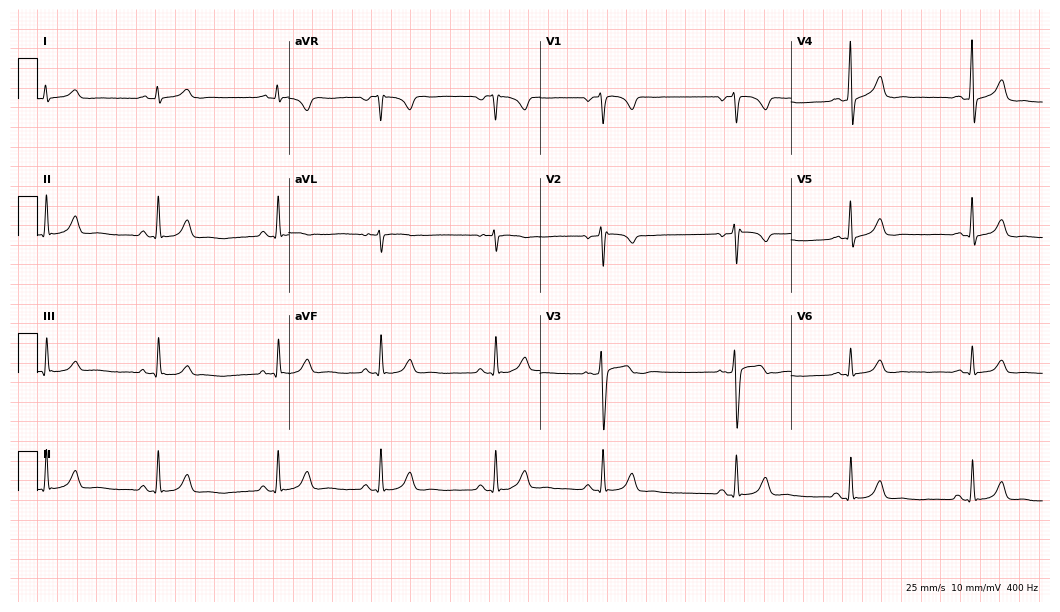
12-lead ECG from a 25-year-old female patient (10.2-second recording at 400 Hz). No first-degree AV block, right bundle branch block, left bundle branch block, sinus bradycardia, atrial fibrillation or sinus tachycardia recorded for this tracing. Findings outside these six are not listed.